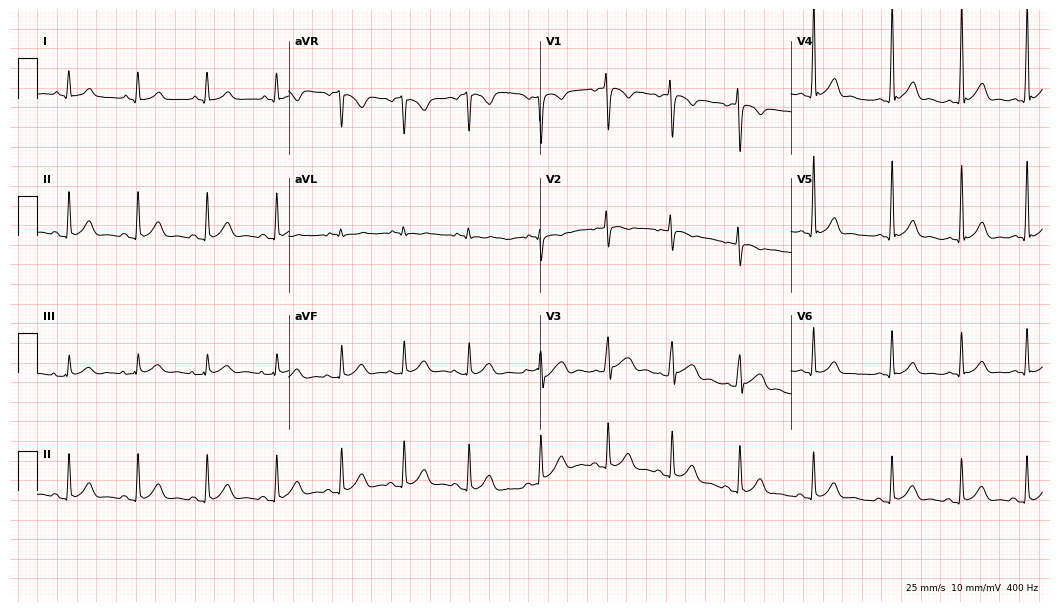
Standard 12-lead ECG recorded from a male patient, 19 years old (10.2-second recording at 400 Hz). Read as a normal ECG.